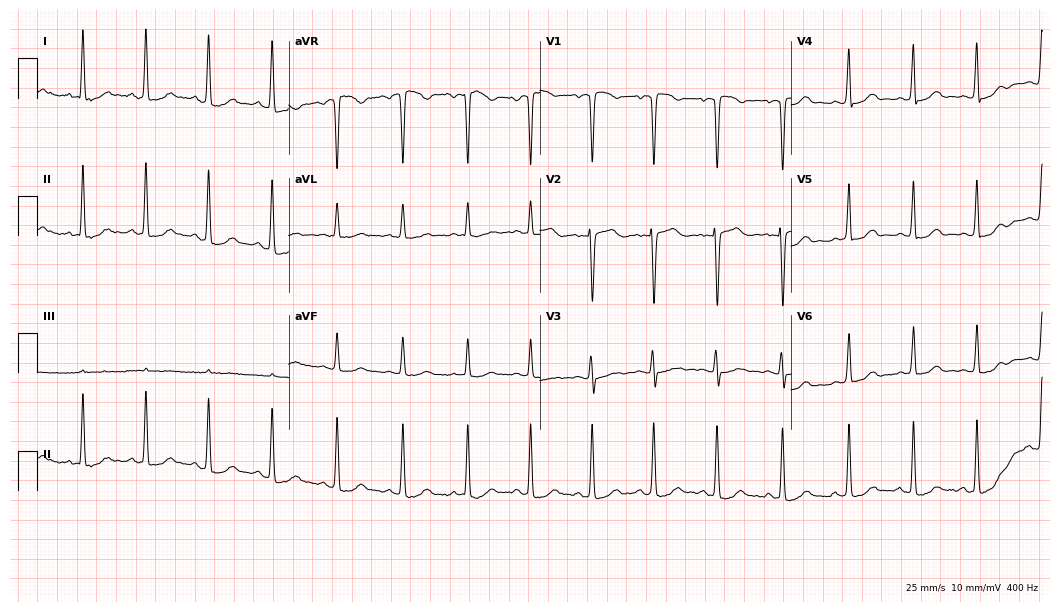
ECG (10.2-second recording at 400 Hz) — a 22-year-old woman. Labelled as a normal ECG.